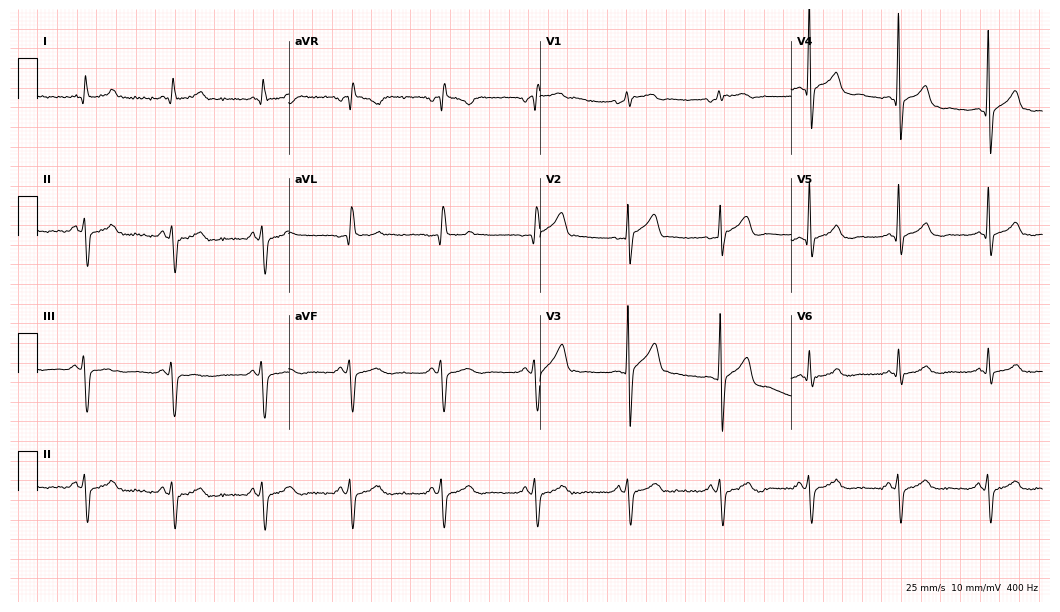
12-lead ECG from a 58-year-old male patient (10.2-second recording at 400 Hz). No first-degree AV block, right bundle branch block, left bundle branch block, sinus bradycardia, atrial fibrillation or sinus tachycardia recorded for this tracing. Only these six findings were labelled.